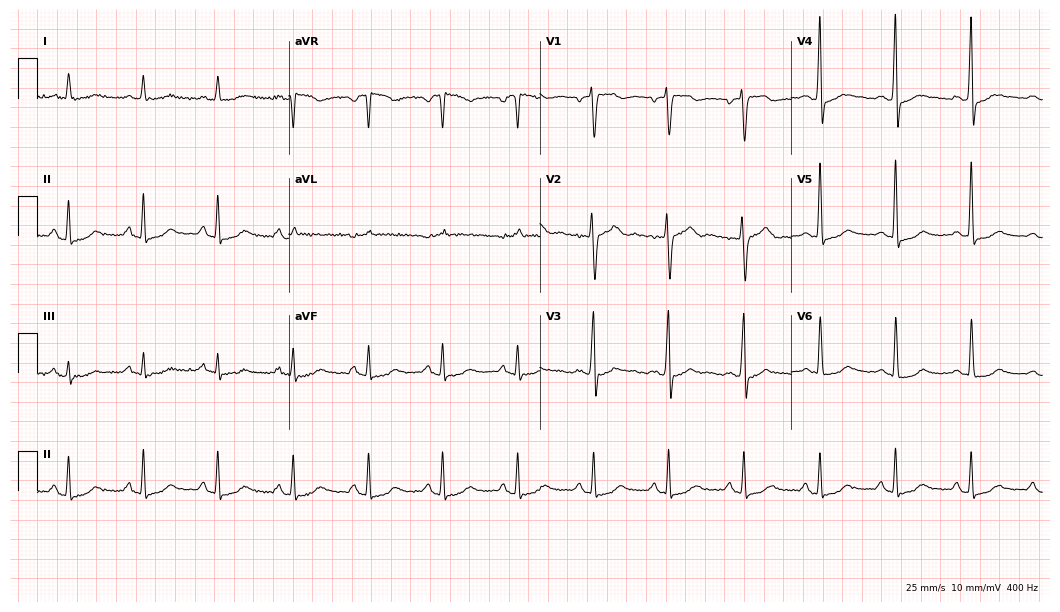
Resting 12-lead electrocardiogram (10.2-second recording at 400 Hz). Patient: a 78-year-old man. None of these six findings is recorded: first-degree AV block, right bundle branch block, left bundle branch block, sinus bradycardia, atrial fibrillation, sinus tachycardia. Other findings, if any, are not listed.